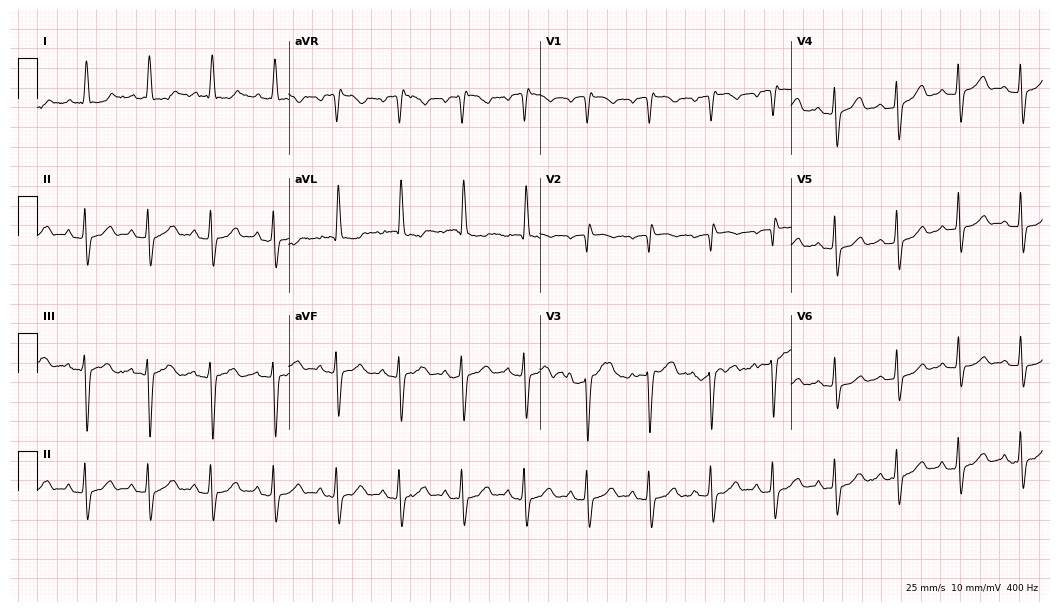
ECG — a female, 78 years old. Screened for six findings — first-degree AV block, right bundle branch block, left bundle branch block, sinus bradycardia, atrial fibrillation, sinus tachycardia — none is recorded. Only these six findings were labelled.